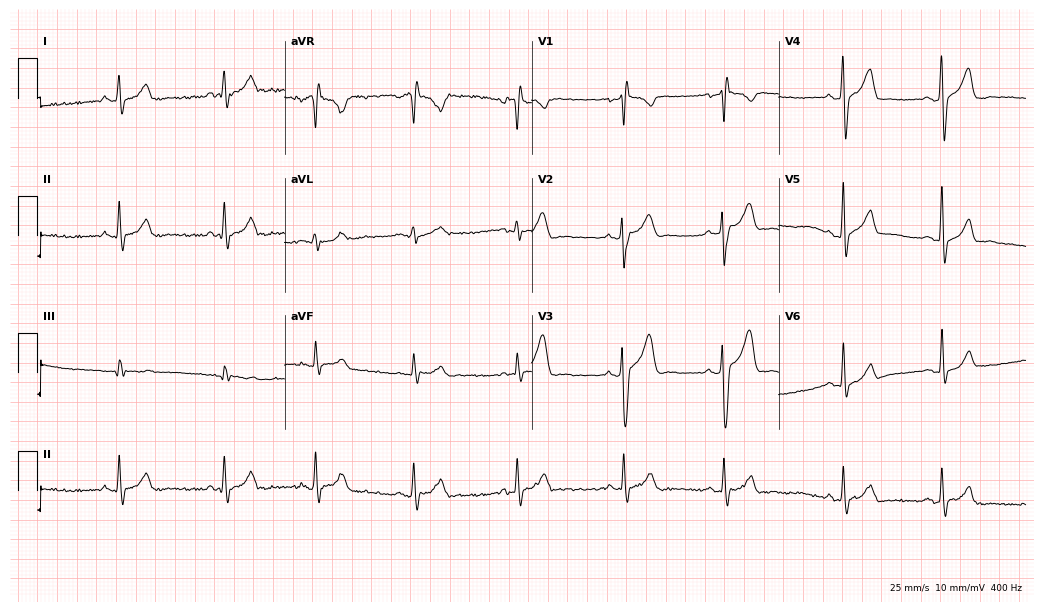
12-lead ECG from a man, 27 years old. No first-degree AV block, right bundle branch block, left bundle branch block, sinus bradycardia, atrial fibrillation or sinus tachycardia recorded for this tracing. Only these six findings were labelled.